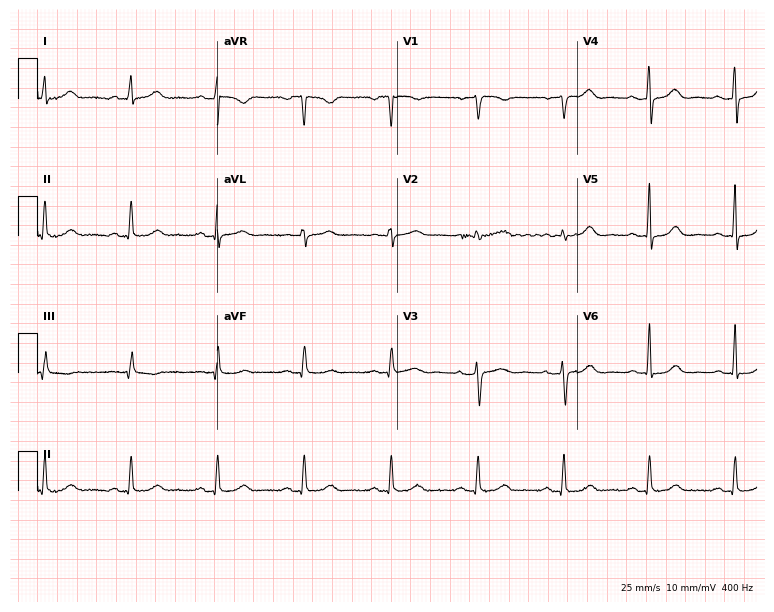
ECG (7.3-second recording at 400 Hz) — a female patient, 65 years old. Labelled as a normal ECG.